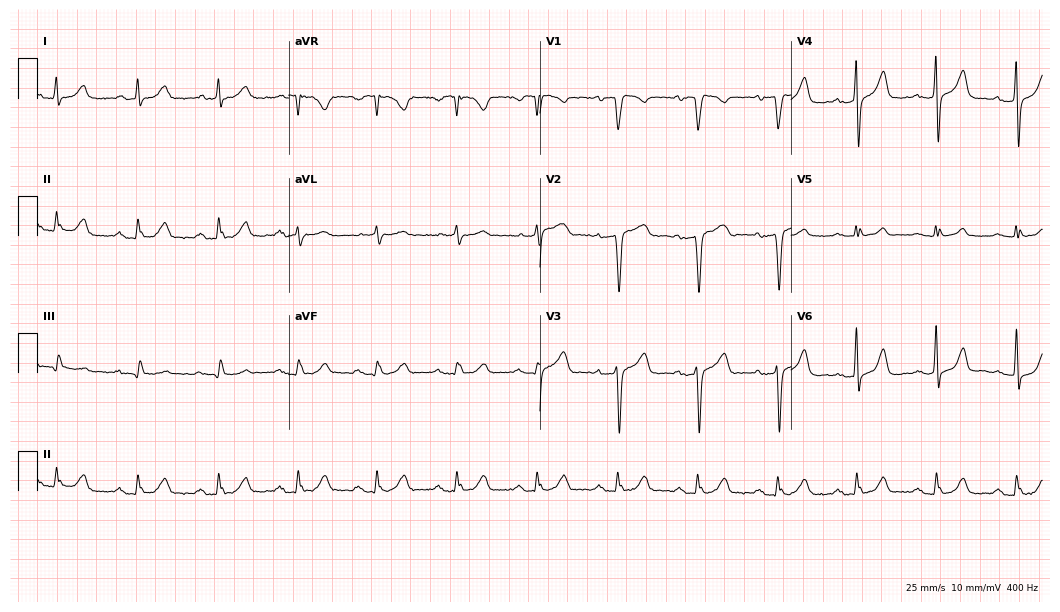
Standard 12-lead ECG recorded from a 53-year-old male patient (10.2-second recording at 400 Hz). None of these six findings is recorded: first-degree AV block, right bundle branch block, left bundle branch block, sinus bradycardia, atrial fibrillation, sinus tachycardia. Only these six findings were labelled.